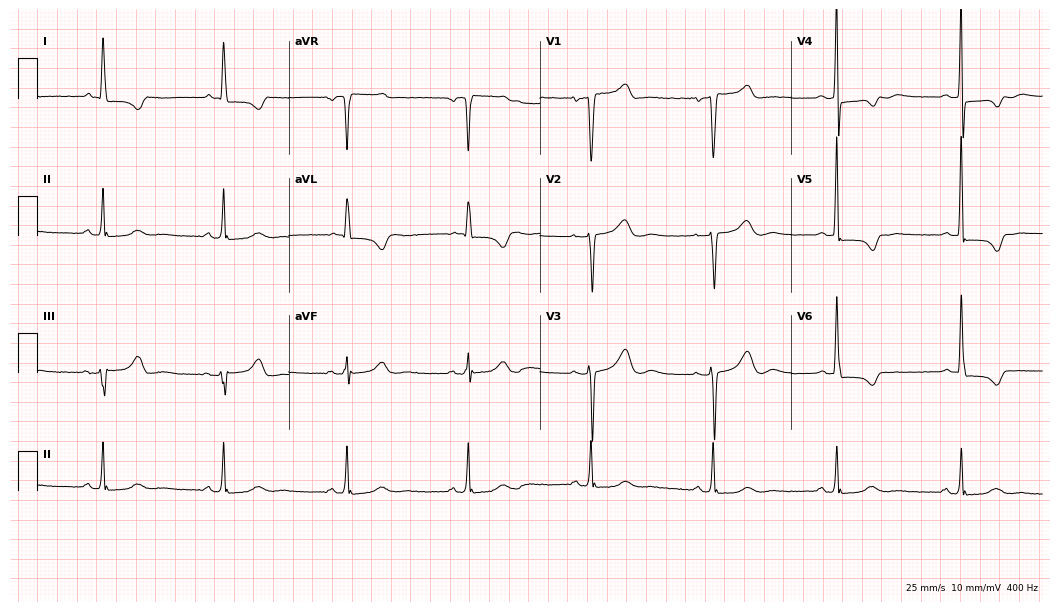
12-lead ECG from a woman, 76 years old. Shows sinus bradycardia (a sinus rate of 50 beats per minute or less).